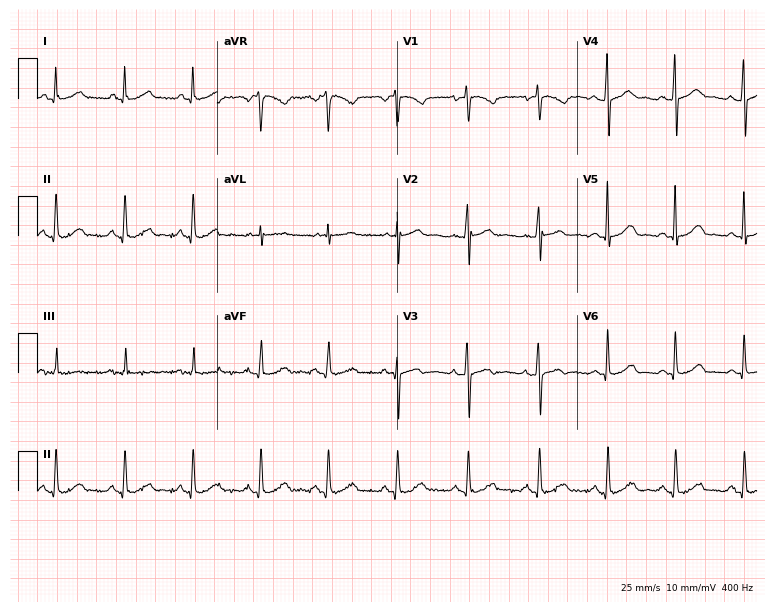
12-lead ECG from a 47-year-old female patient (7.3-second recording at 400 Hz). Recorded interpretation: within normal limits.